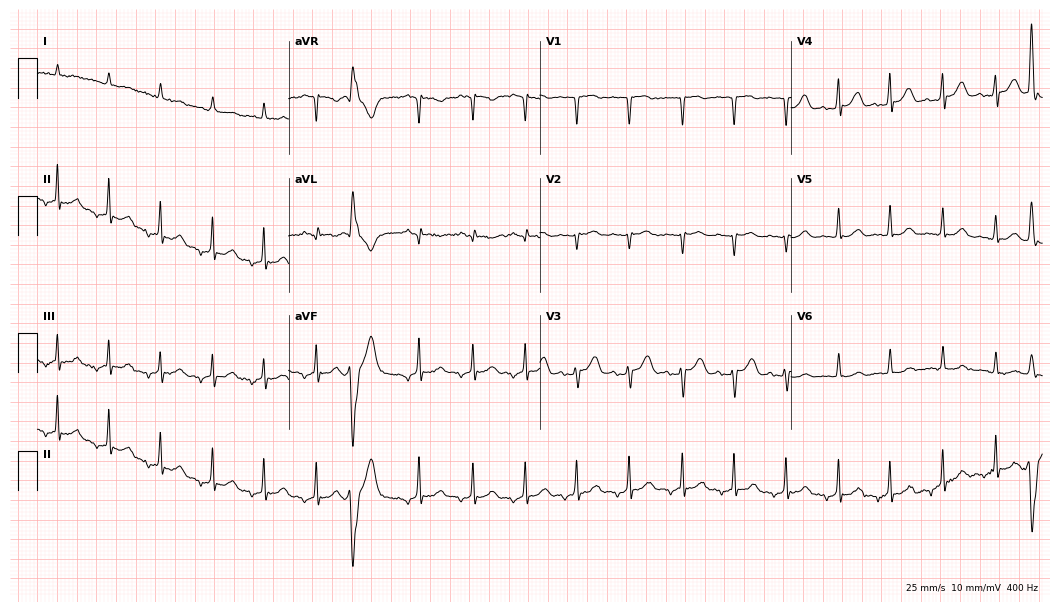
12-lead ECG from a man, 82 years old. No first-degree AV block, right bundle branch block, left bundle branch block, sinus bradycardia, atrial fibrillation or sinus tachycardia recorded for this tracing.